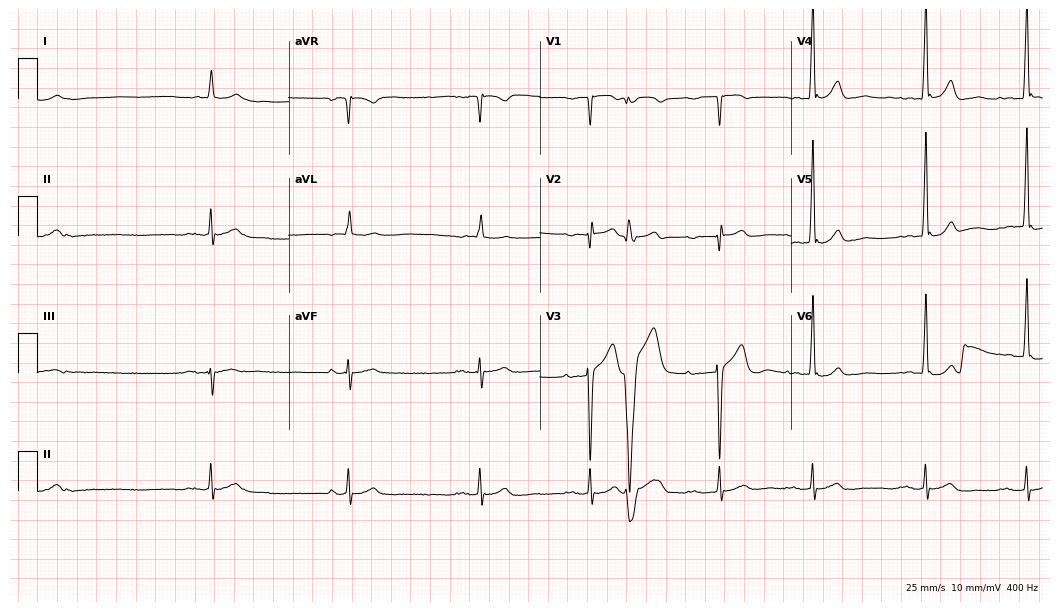
Electrocardiogram, a 55-year-old male. Interpretation includes first-degree AV block.